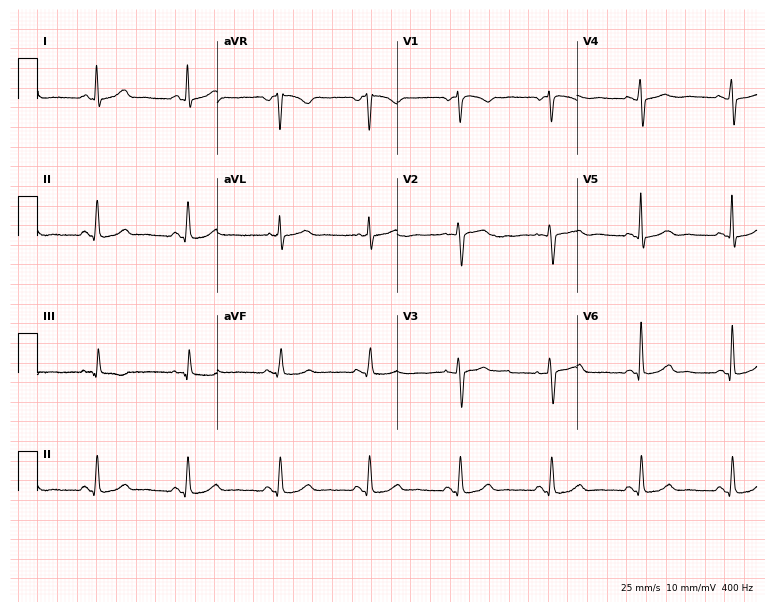
12-lead ECG from a 42-year-old woman. Screened for six findings — first-degree AV block, right bundle branch block, left bundle branch block, sinus bradycardia, atrial fibrillation, sinus tachycardia — none is recorded.